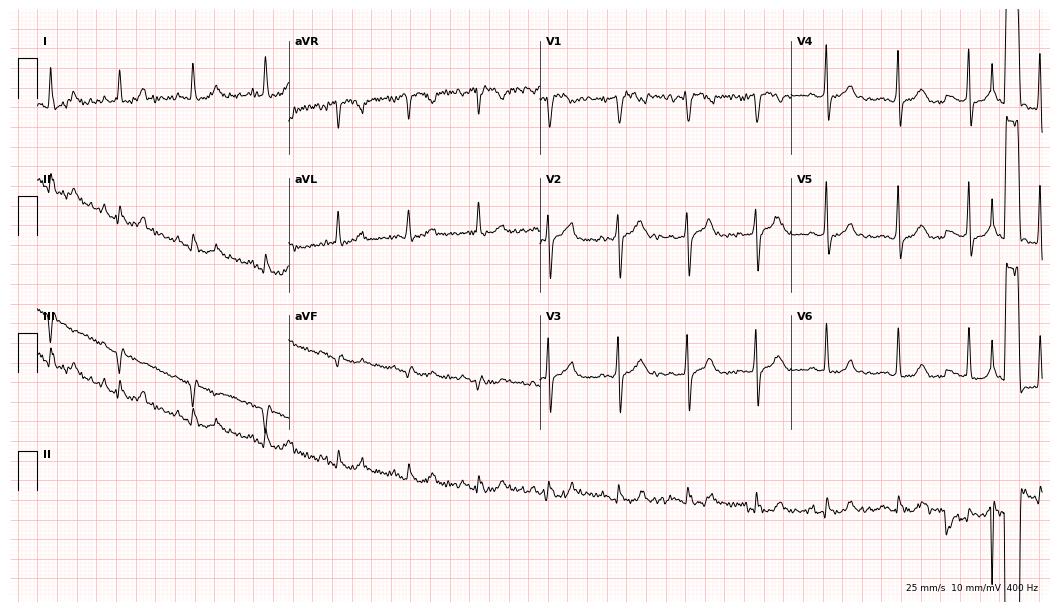
Resting 12-lead electrocardiogram. Patient: a 55-year-old man. None of these six findings is recorded: first-degree AV block, right bundle branch block, left bundle branch block, sinus bradycardia, atrial fibrillation, sinus tachycardia.